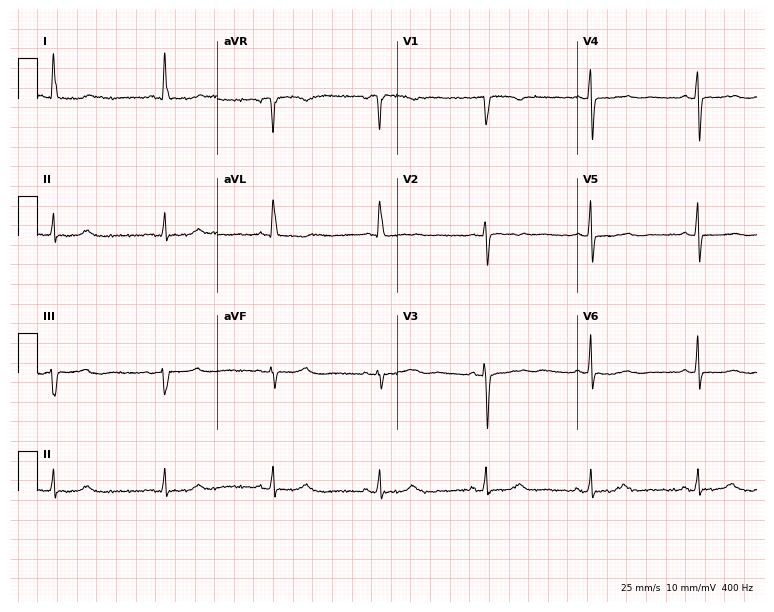
12-lead ECG from a female patient, 72 years old (7.3-second recording at 400 Hz). No first-degree AV block, right bundle branch block (RBBB), left bundle branch block (LBBB), sinus bradycardia, atrial fibrillation (AF) or sinus tachycardia recorded for this tracing. Other findings, if any, are not listed.